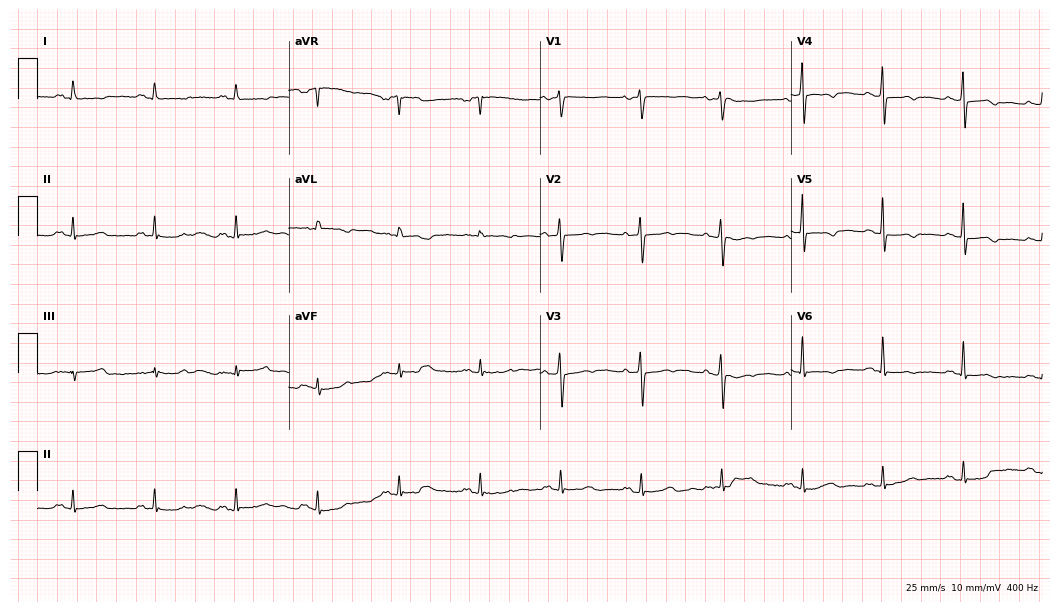
Standard 12-lead ECG recorded from a woman, 52 years old. None of these six findings is recorded: first-degree AV block, right bundle branch block (RBBB), left bundle branch block (LBBB), sinus bradycardia, atrial fibrillation (AF), sinus tachycardia. Only these six findings were labelled.